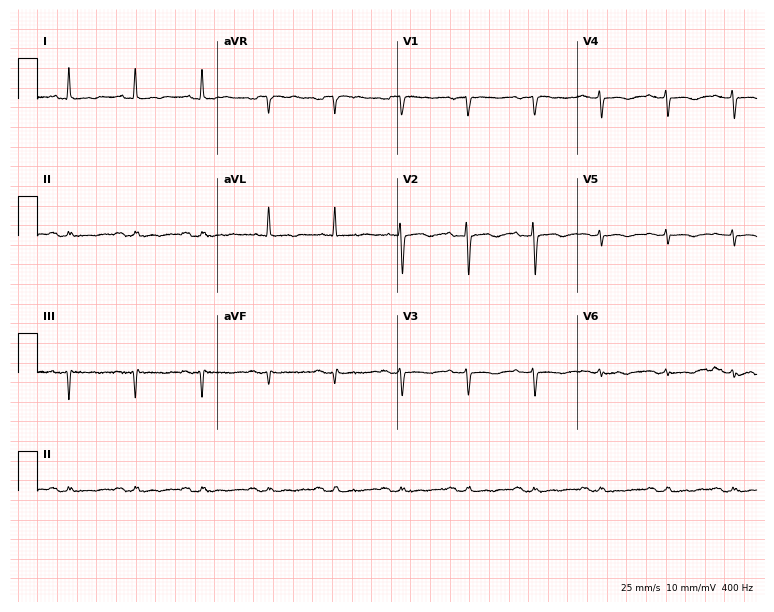
Resting 12-lead electrocardiogram. Patient: a female, 66 years old. None of these six findings is recorded: first-degree AV block, right bundle branch block, left bundle branch block, sinus bradycardia, atrial fibrillation, sinus tachycardia. Findings outside these six are not listed.